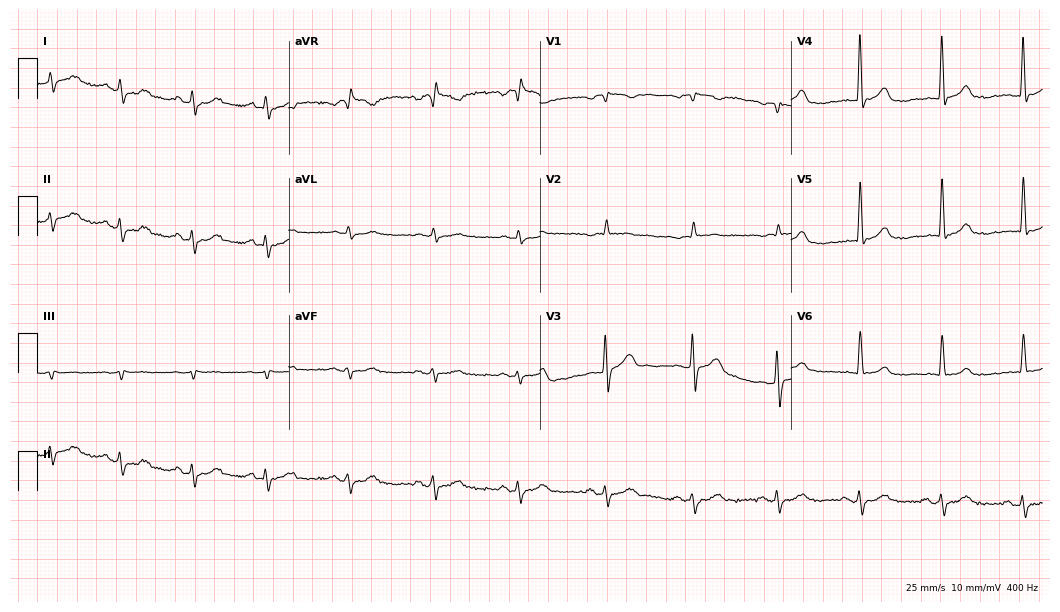
12-lead ECG from an 82-year-old man. Screened for six findings — first-degree AV block, right bundle branch block, left bundle branch block, sinus bradycardia, atrial fibrillation, sinus tachycardia — none is recorded.